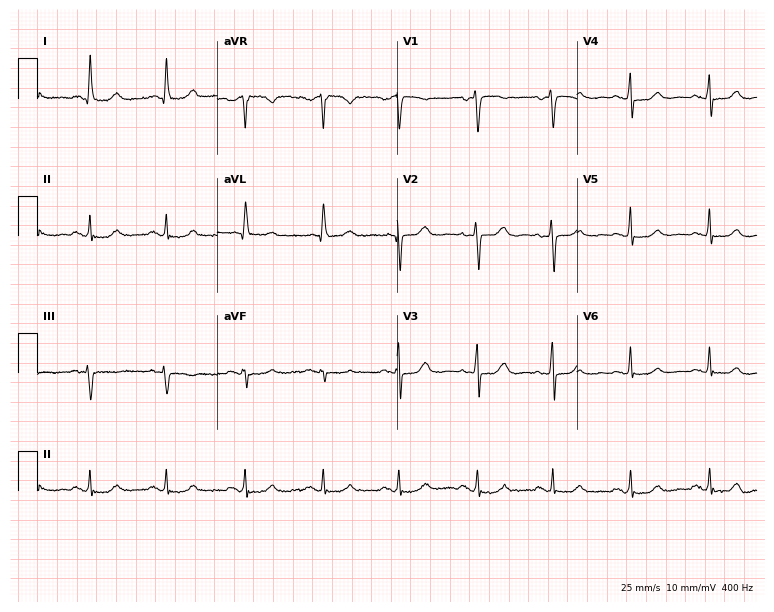
Standard 12-lead ECG recorded from a female, 63 years old (7.3-second recording at 400 Hz). Read as a normal ECG.